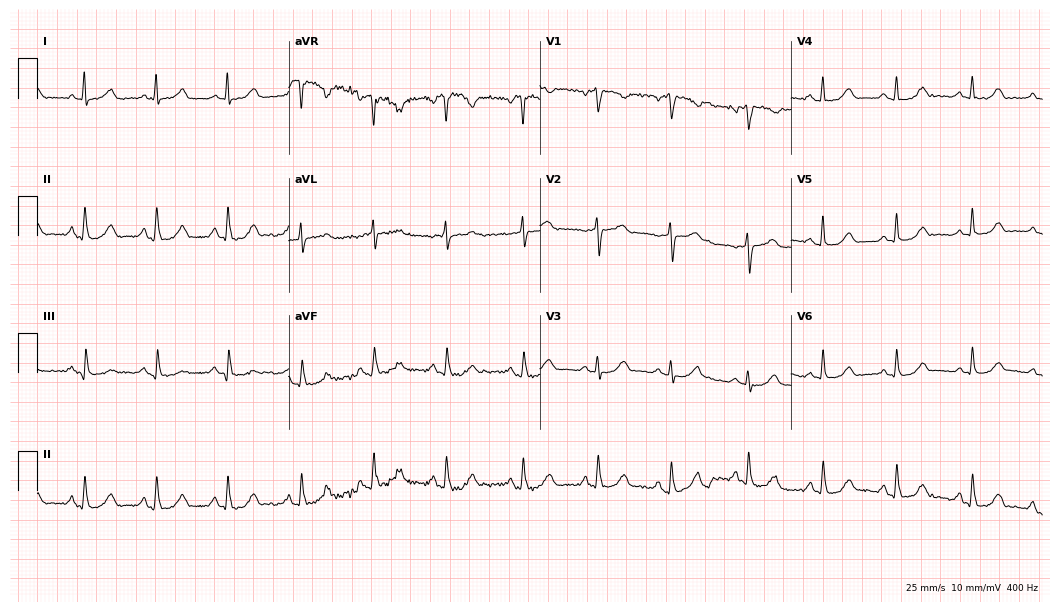
12-lead ECG from a 54-year-old woman. Recorded interpretation: within normal limits.